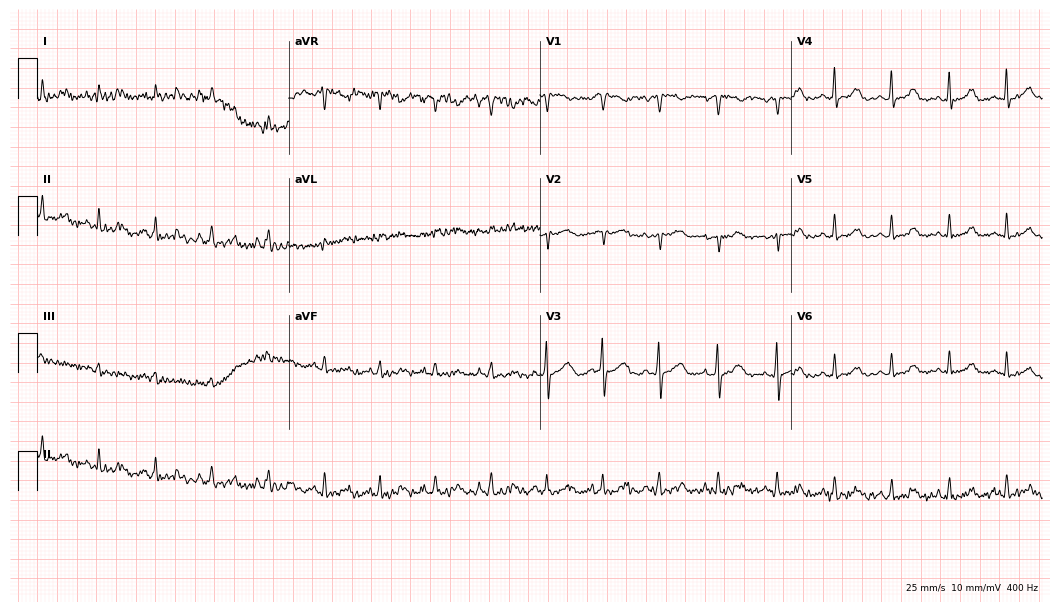
12-lead ECG from a female, 36 years old. No first-degree AV block, right bundle branch block, left bundle branch block, sinus bradycardia, atrial fibrillation or sinus tachycardia recorded for this tracing.